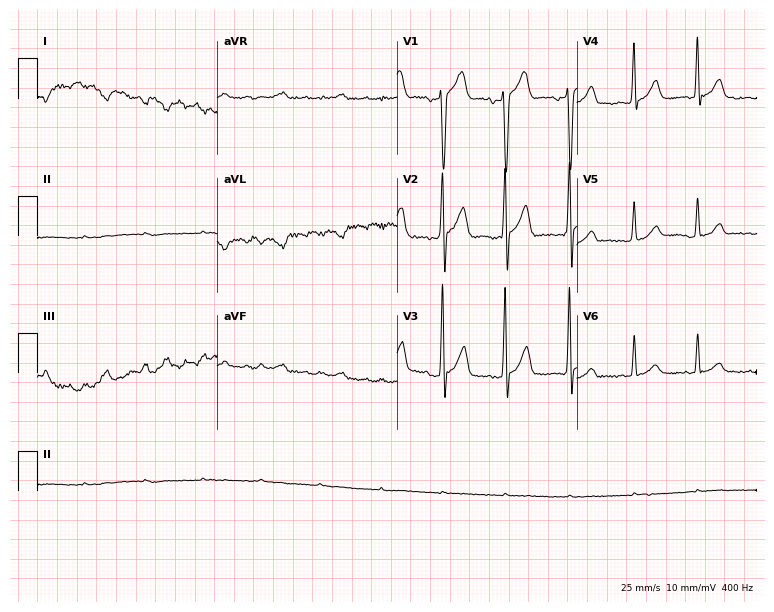
Resting 12-lead electrocardiogram (7.3-second recording at 400 Hz). Patient: a 40-year-old man. None of these six findings is recorded: first-degree AV block, right bundle branch block, left bundle branch block, sinus bradycardia, atrial fibrillation, sinus tachycardia.